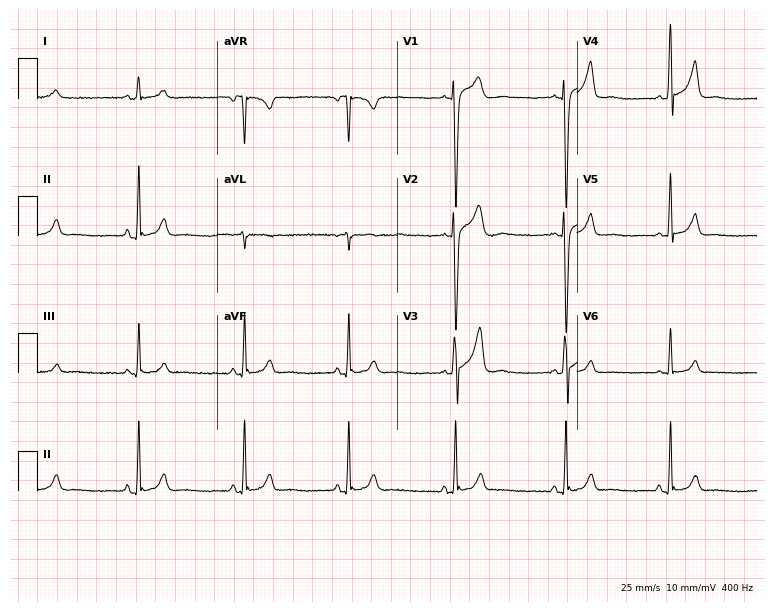
12-lead ECG from a 23-year-old man (7.3-second recording at 400 Hz). No first-degree AV block, right bundle branch block, left bundle branch block, sinus bradycardia, atrial fibrillation or sinus tachycardia recorded for this tracing. Findings outside these six are not listed.